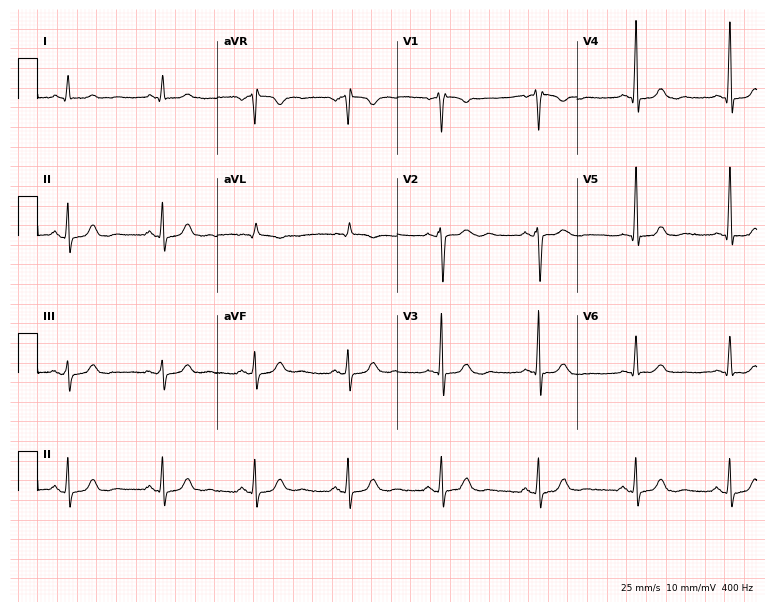
Standard 12-lead ECG recorded from a 70-year-old male (7.3-second recording at 400 Hz). Read as a normal ECG.